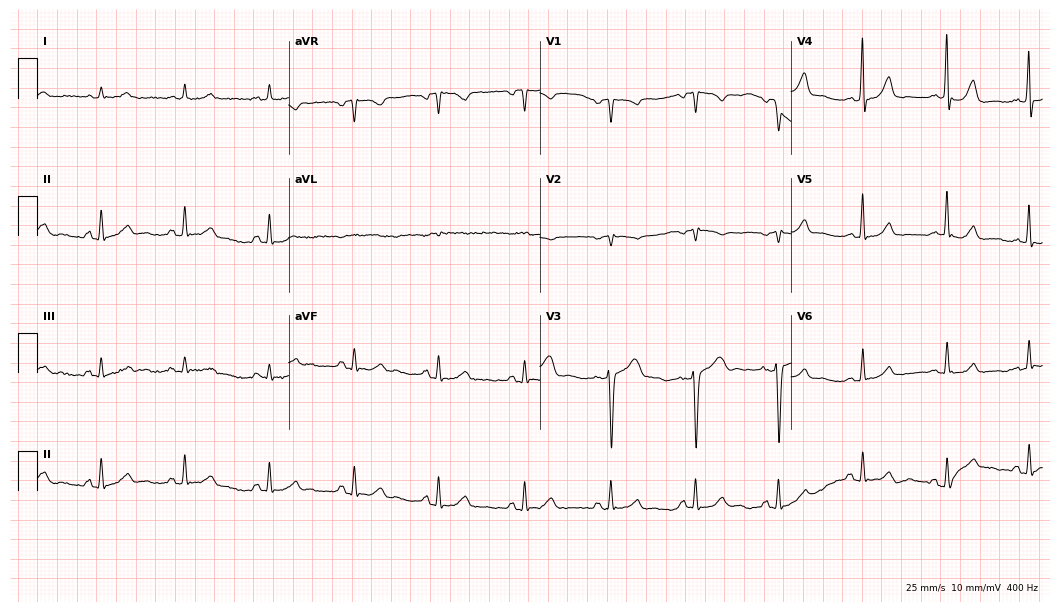
Electrocardiogram, a 46-year-old female. Of the six screened findings (first-degree AV block, right bundle branch block, left bundle branch block, sinus bradycardia, atrial fibrillation, sinus tachycardia), none is recorded.